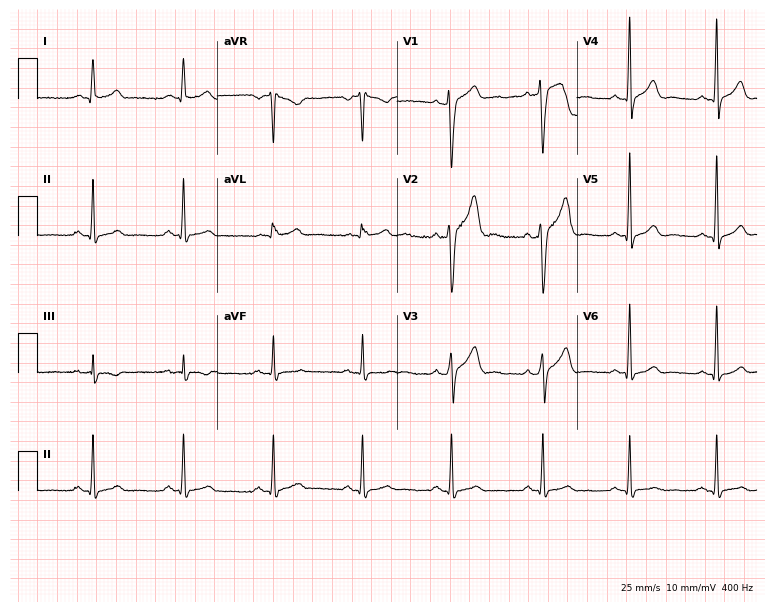
Standard 12-lead ECG recorded from a 30-year-old male patient. None of these six findings is recorded: first-degree AV block, right bundle branch block (RBBB), left bundle branch block (LBBB), sinus bradycardia, atrial fibrillation (AF), sinus tachycardia.